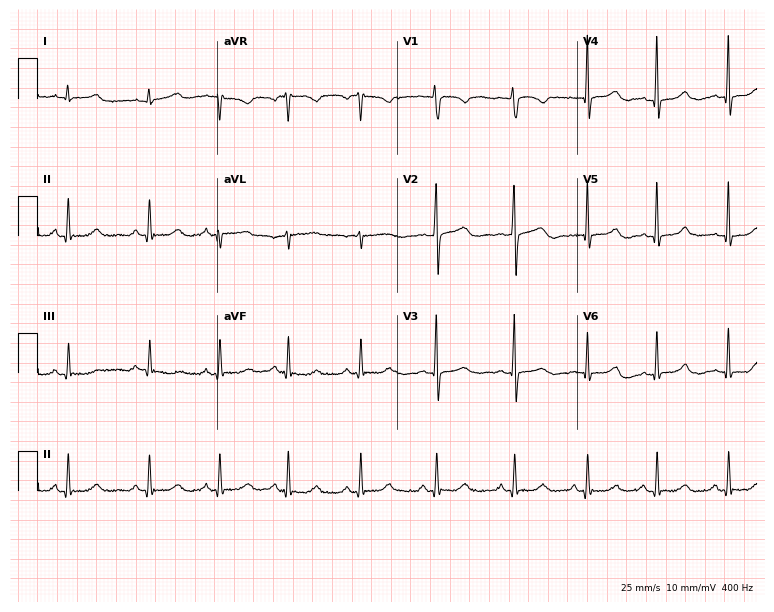
Standard 12-lead ECG recorded from a woman, 35 years old (7.3-second recording at 400 Hz). None of these six findings is recorded: first-degree AV block, right bundle branch block, left bundle branch block, sinus bradycardia, atrial fibrillation, sinus tachycardia.